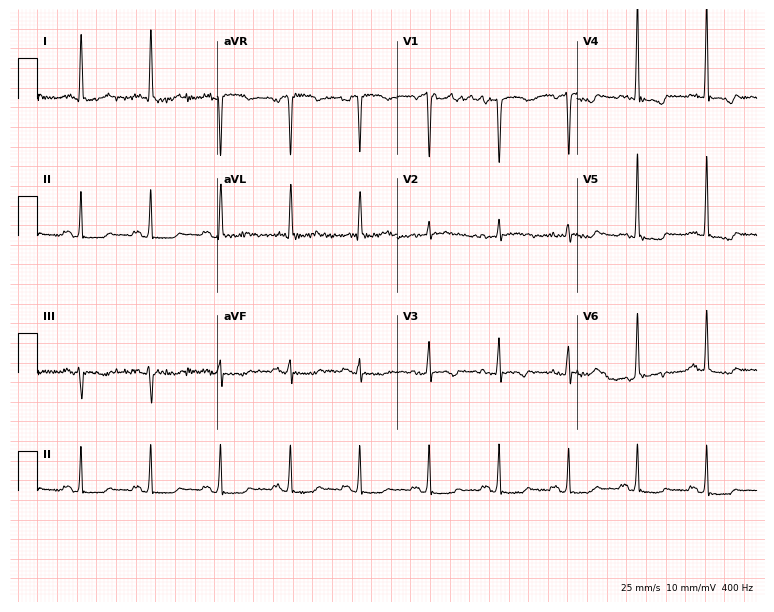
ECG (7.3-second recording at 400 Hz) — a 60-year-old woman. Screened for six findings — first-degree AV block, right bundle branch block (RBBB), left bundle branch block (LBBB), sinus bradycardia, atrial fibrillation (AF), sinus tachycardia — none is recorded. Other findings, if any, are not listed.